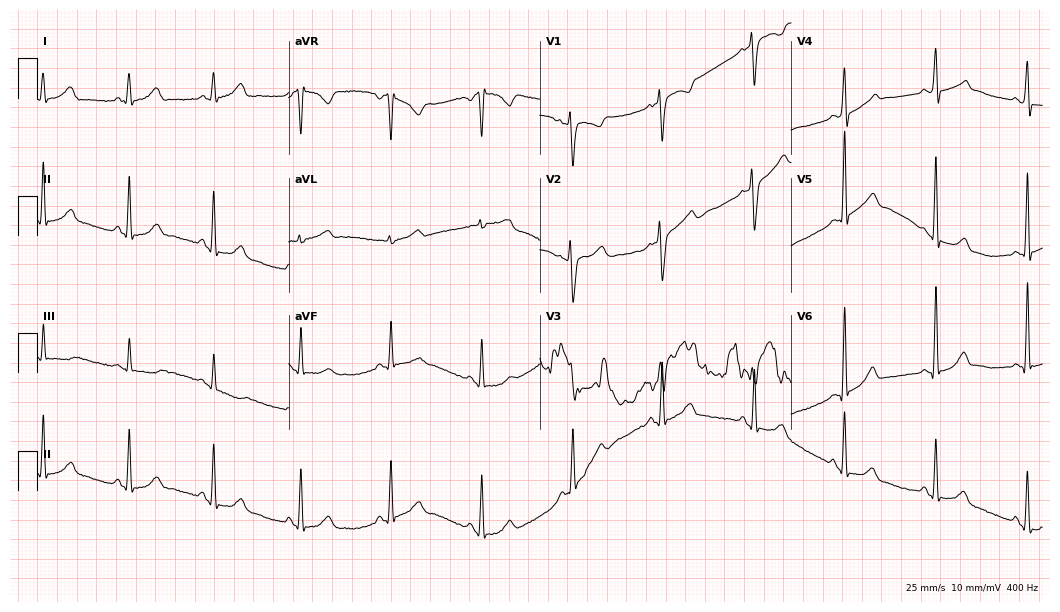
ECG (10.2-second recording at 400 Hz) — a female patient, 36 years old. Screened for six findings — first-degree AV block, right bundle branch block (RBBB), left bundle branch block (LBBB), sinus bradycardia, atrial fibrillation (AF), sinus tachycardia — none is recorded.